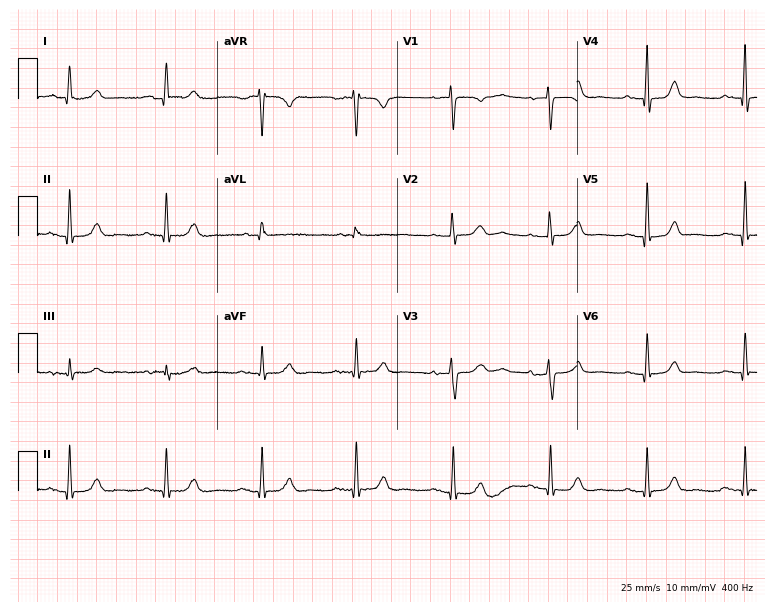
12-lead ECG (7.3-second recording at 400 Hz) from a female, 85 years old. Labelled as a normal ECG.